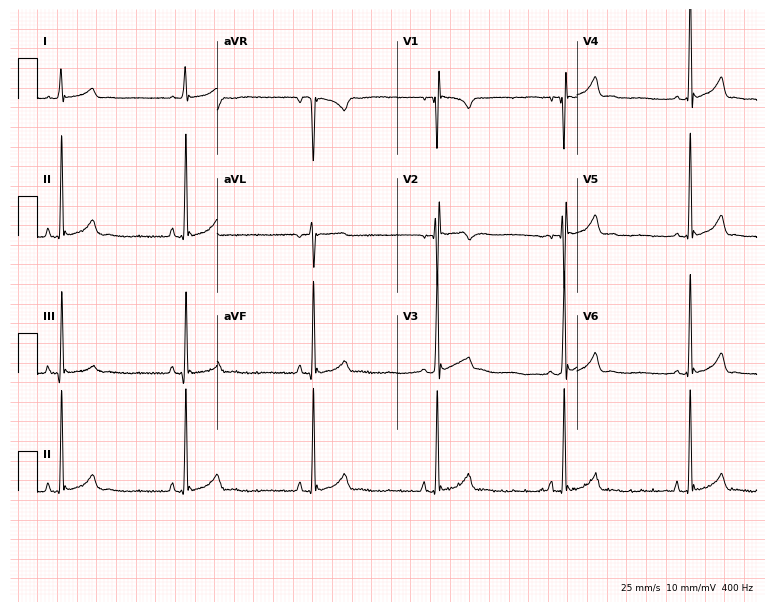
Resting 12-lead electrocardiogram (7.3-second recording at 400 Hz). Patient: a man, 17 years old. The tracing shows sinus bradycardia (a sinus rate of 50 beats per minute or less).